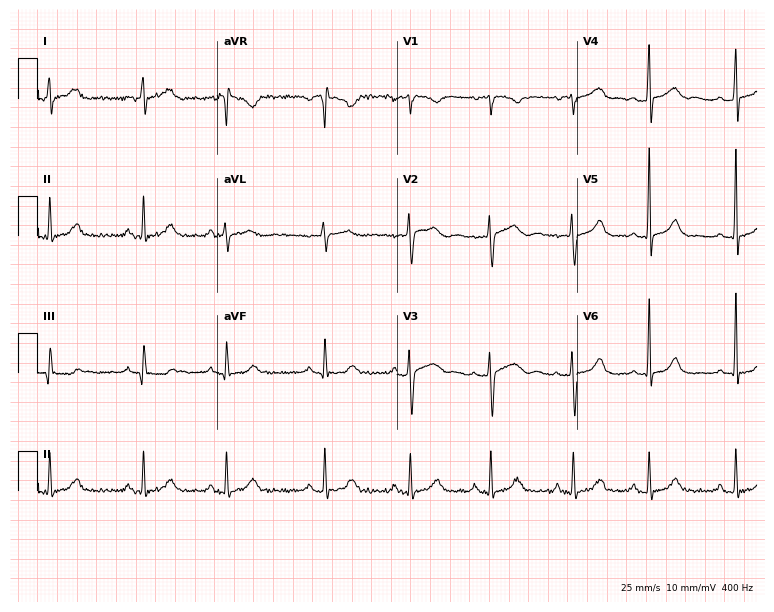
Electrocardiogram (7.3-second recording at 400 Hz), a 27-year-old woman. Overall reading on record: normal ECG.